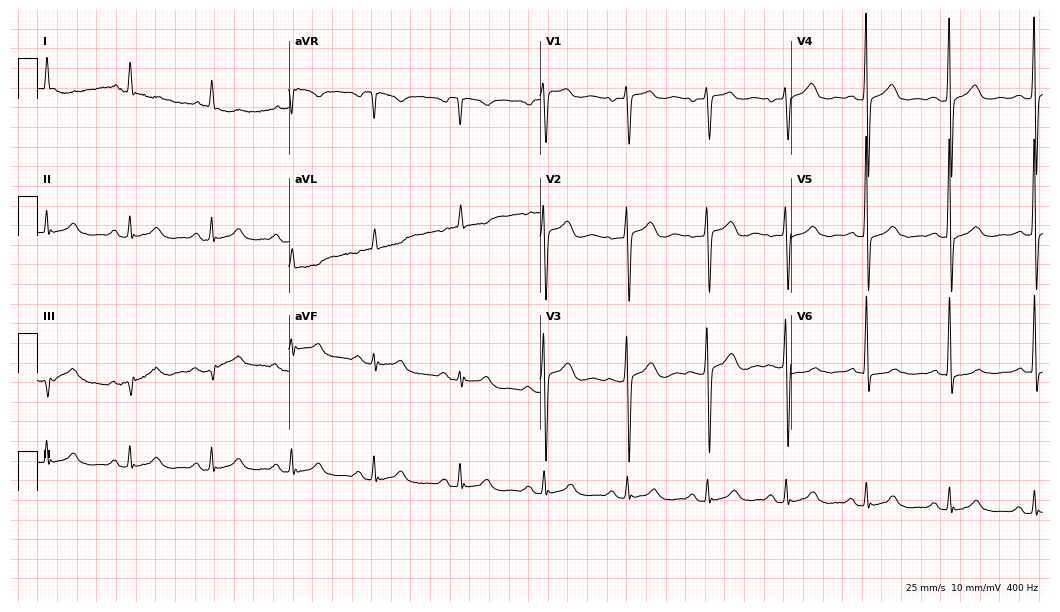
12-lead ECG (10.2-second recording at 400 Hz) from a woman, 75 years old. Labelled as a normal ECG.